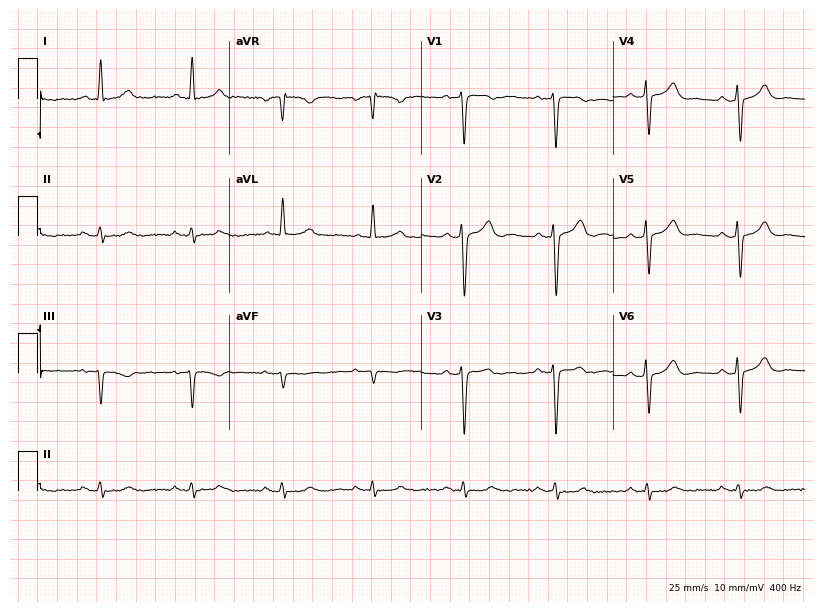
Resting 12-lead electrocardiogram. Patient: a 73-year-old male. None of these six findings is recorded: first-degree AV block, right bundle branch block, left bundle branch block, sinus bradycardia, atrial fibrillation, sinus tachycardia. Findings outside these six are not listed.